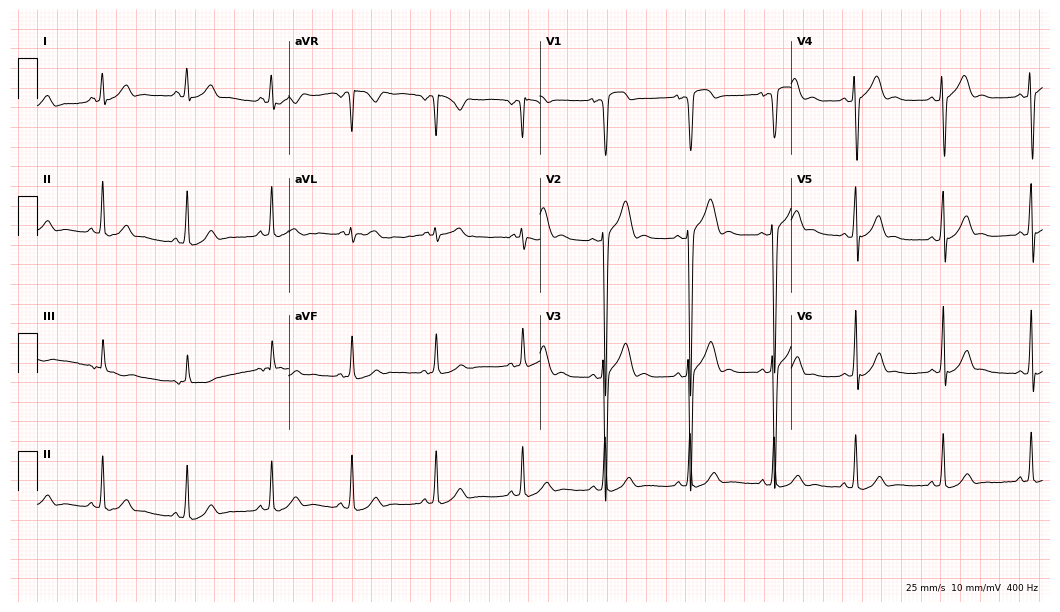
Standard 12-lead ECG recorded from a 21-year-old female. Read as a normal ECG.